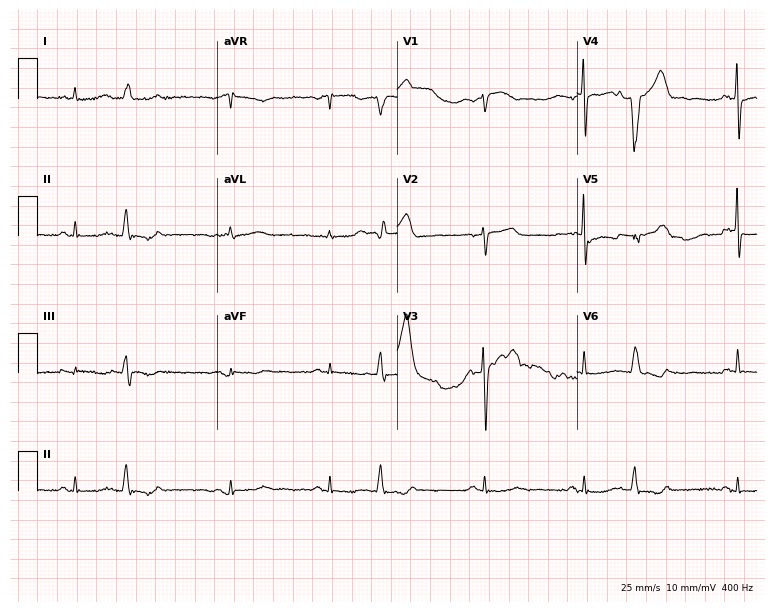
ECG (7.3-second recording at 400 Hz) — a 73-year-old man. Screened for six findings — first-degree AV block, right bundle branch block, left bundle branch block, sinus bradycardia, atrial fibrillation, sinus tachycardia — none is recorded.